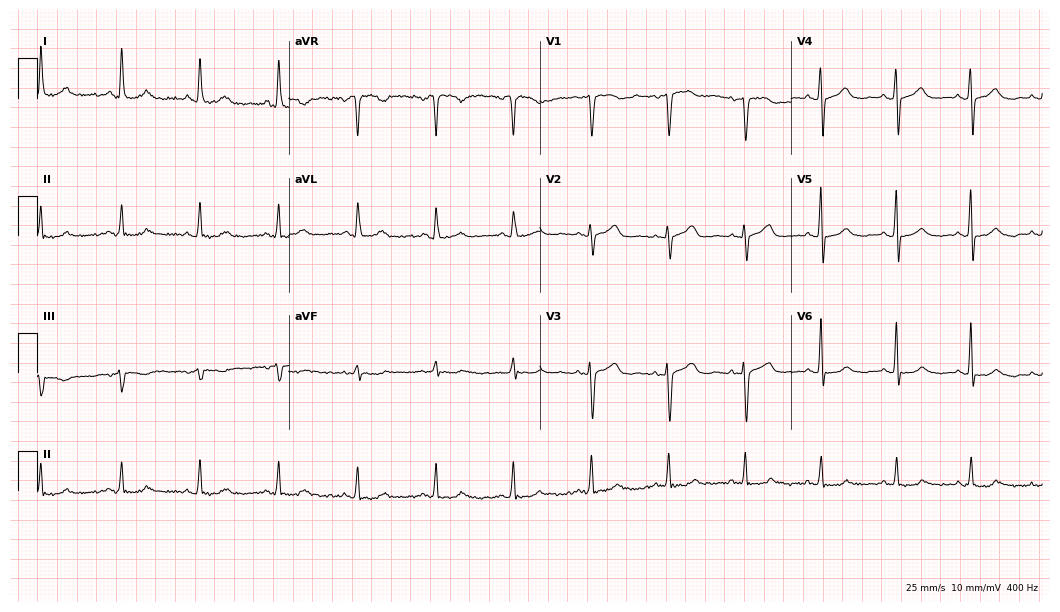
Resting 12-lead electrocardiogram. Patient: a 70-year-old woman. Read as a normal ECG.